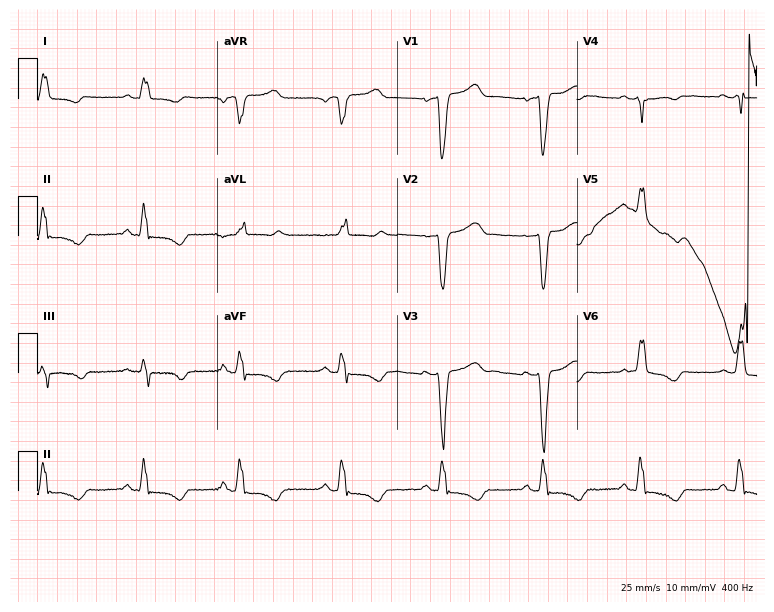
Electrocardiogram, an 82-year-old female patient. Of the six screened findings (first-degree AV block, right bundle branch block, left bundle branch block, sinus bradycardia, atrial fibrillation, sinus tachycardia), none is recorded.